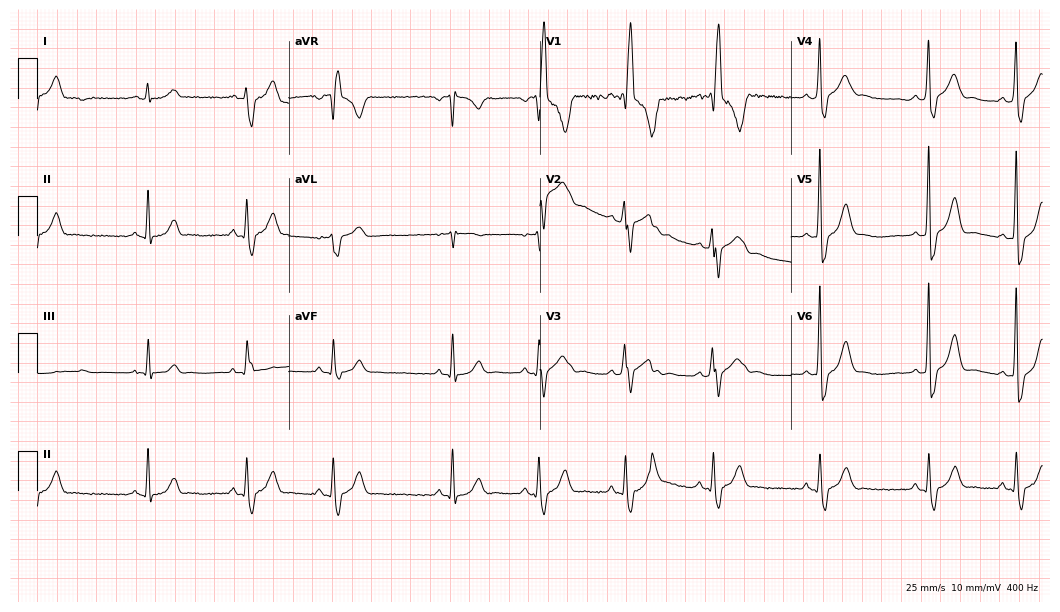
12-lead ECG from a 24-year-old male. No first-degree AV block, right bundle branch block, left bundle branch block, sinus bradycardia, atrial fibrillation or sinus tachycardia recorded for this tracing. Other findings, if any, are not listed.